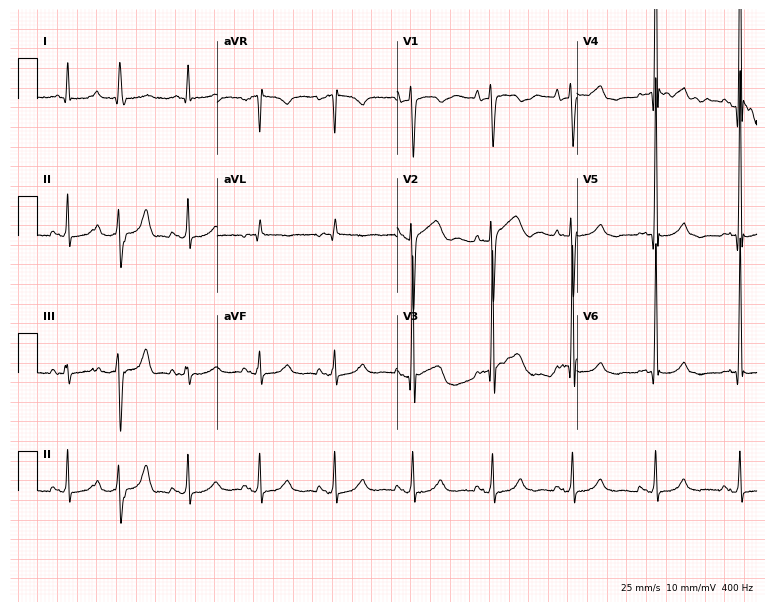
Electrocardiogram (7.3-second recording at 400 Hz), a 69-year-old male patient. Overall reading on record: normal ECG.